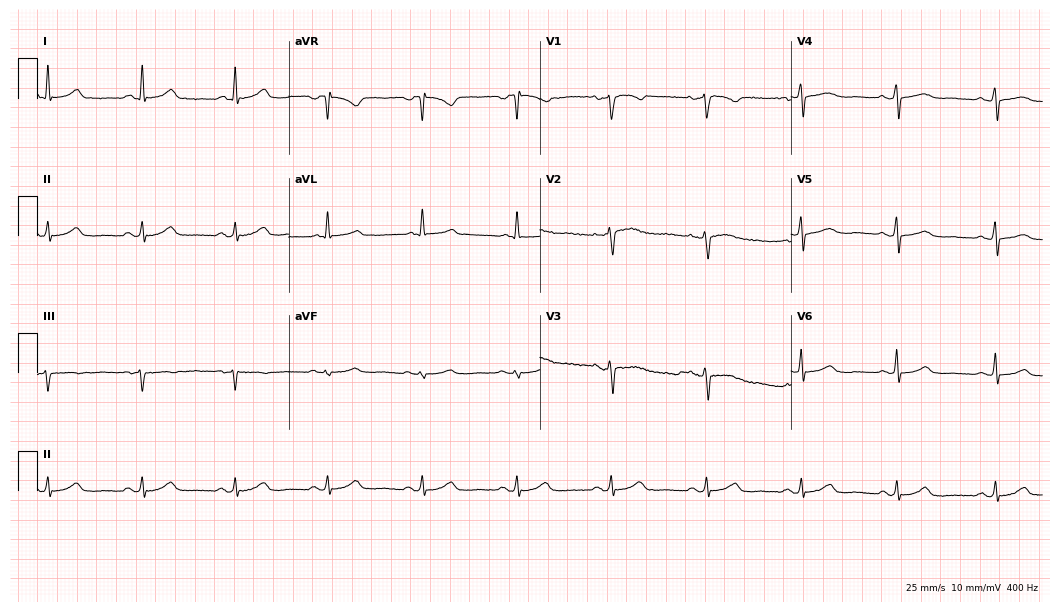
Standard 12-lead ECG recorded from a 55-year-old female. None of these six findings is recorded: first-degree AV block, right bundle branch block, left bundle branch block, sinus bradycardia, atrial fibrillation, sinus tachycardia.